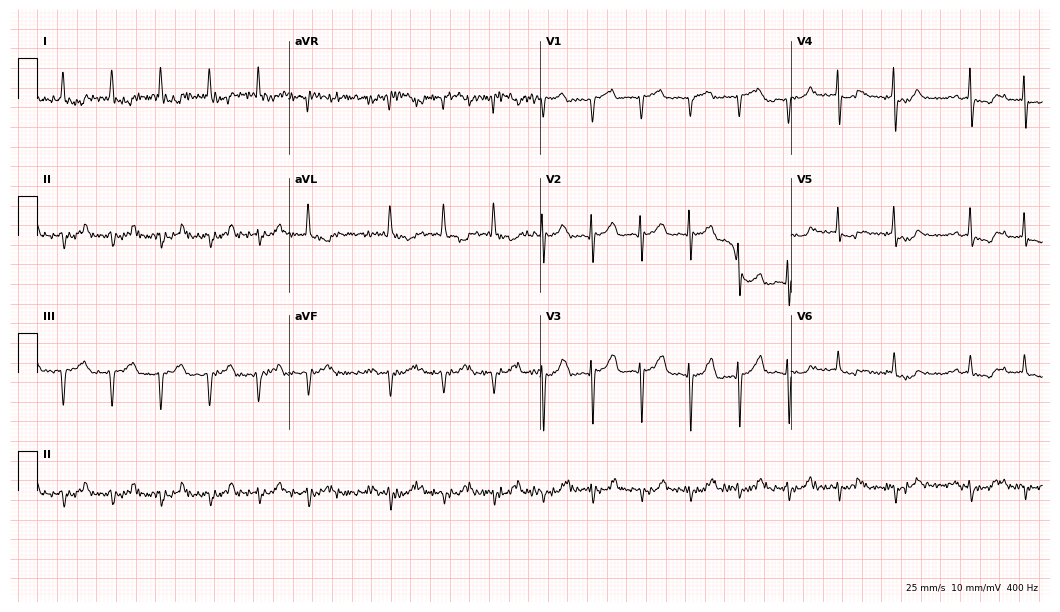
12-lead ECG from a 67-year-old male (10.2-second recording at 400 Hz). No first-degree AV block, right bundle branch block (RBBB), left bundle branch block (LBBB), sinus bradycardia, atrial fibrillation (AF) or sinus tachycardia recorded for this tracing. Only these six findings were labelled.